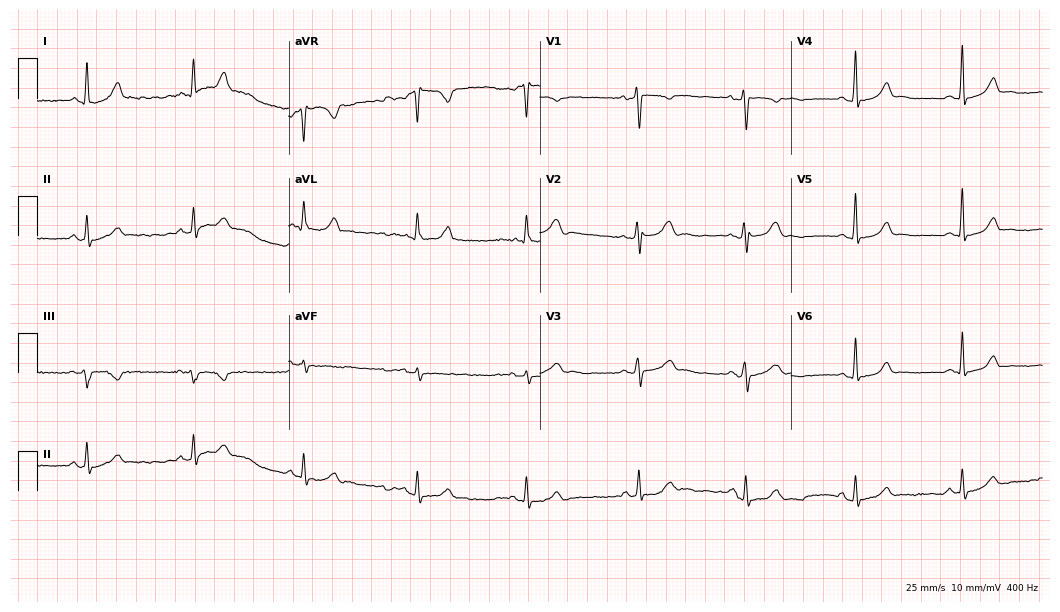
ECG — a 41-year-old female patient. Labelled as a normal ECG.